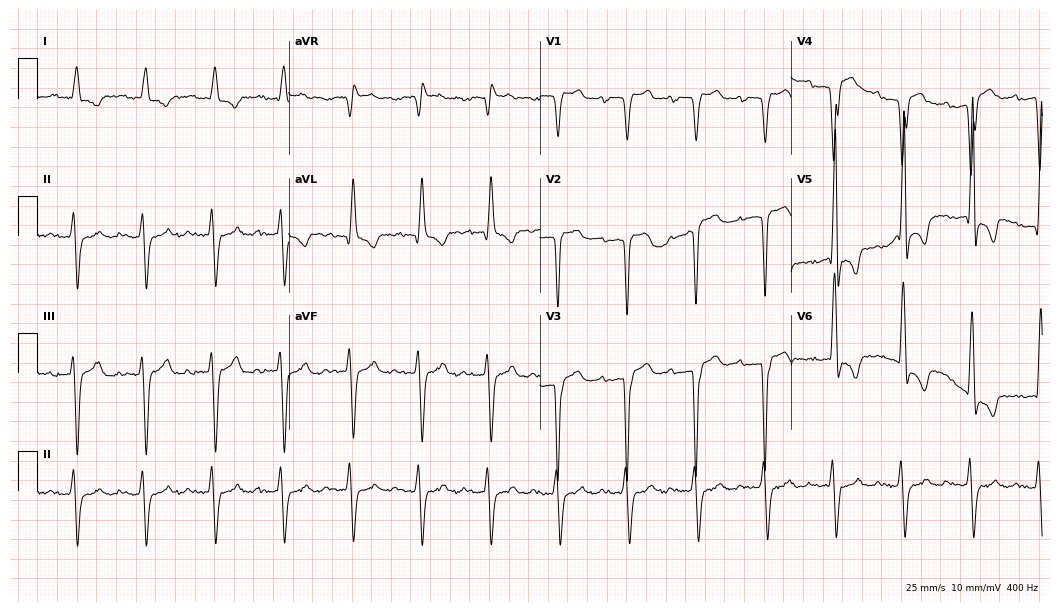
Electrocardiogram, an 85-year-old male patient. Of the six screened findings (first-degree AV block, right bundle branch block, left bundle branch block, sinus bradycardia, atrial fibrillation, sinus tachycardia), none is recorded. Only these six findings were labelled.